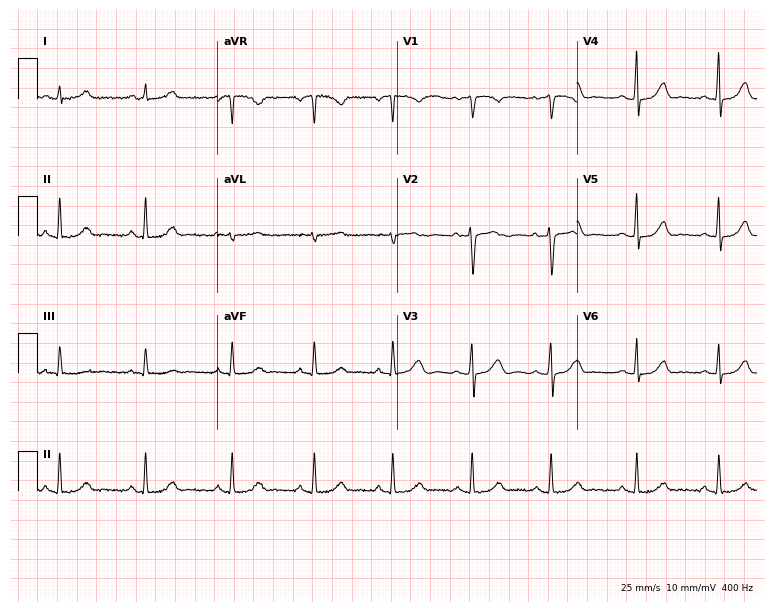
Electrocardiogram, a female, 31 years old. Overall reading on record: normal ECG.